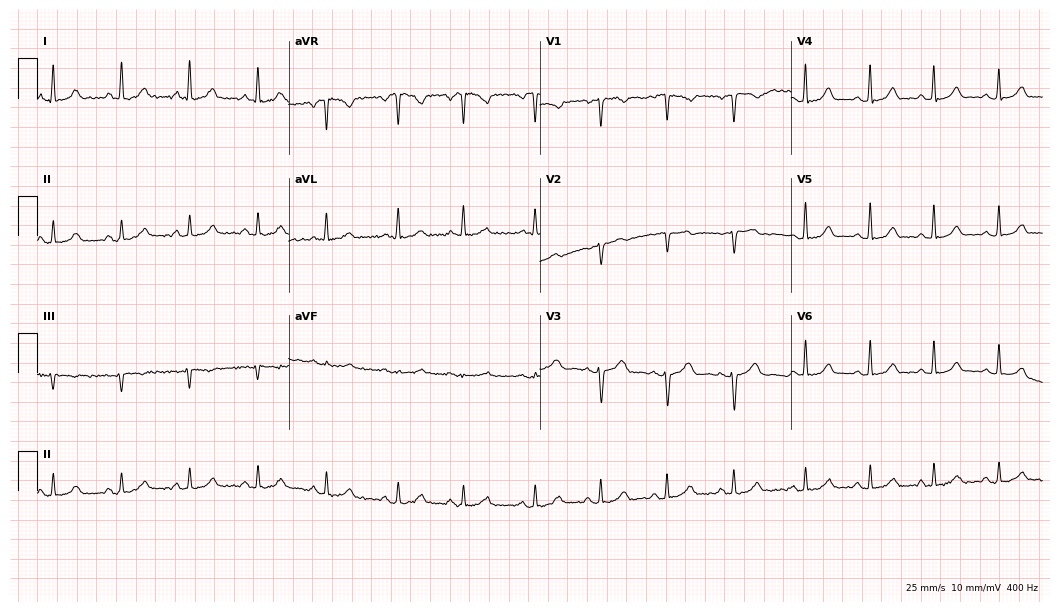
Resting 12-lead electrocardiogram. Patient: a 47-year-old female. Read as a normal ECG.